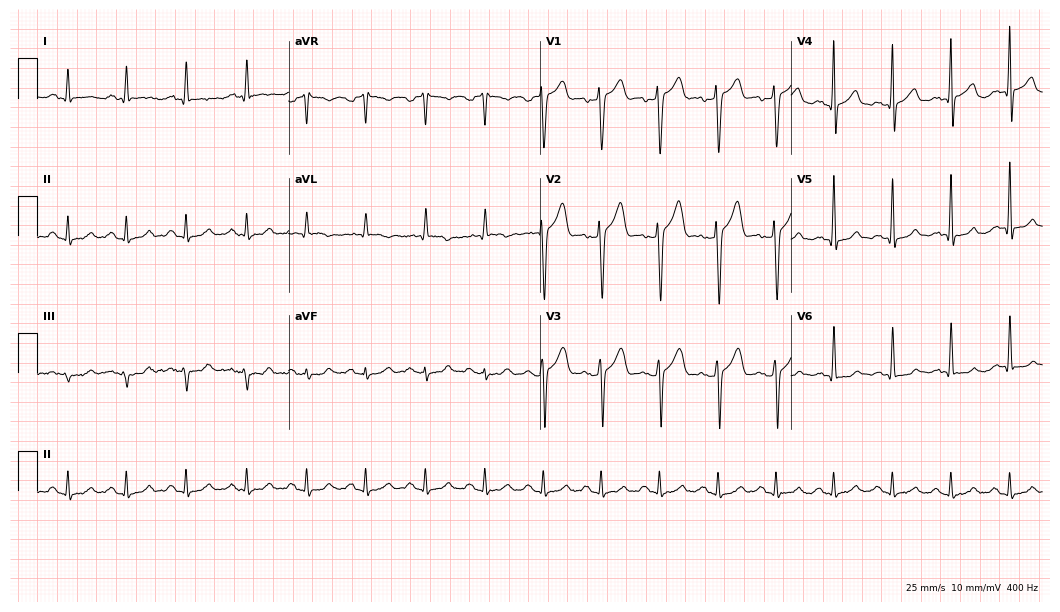
Electrocardiogram, a male, 31 years old. Overall reading on record: normal ECG.